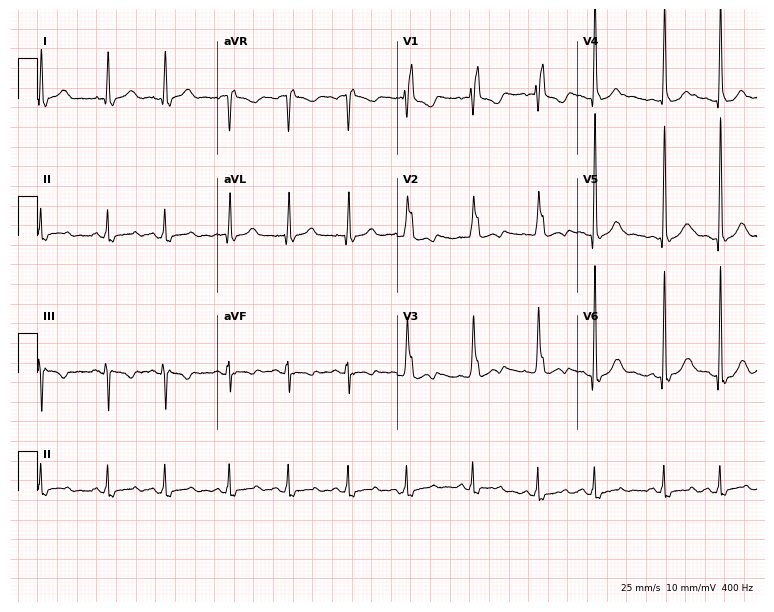
Standard 12-lead ECG recorded from a female, 48 years old. None of these six findings is recorded: first-degree AV block, right bundle branch block (RBBB), left bundle branch block (LBBB), sinus bradycardia, atrial fibrillation (AF), sinus tachycardia.